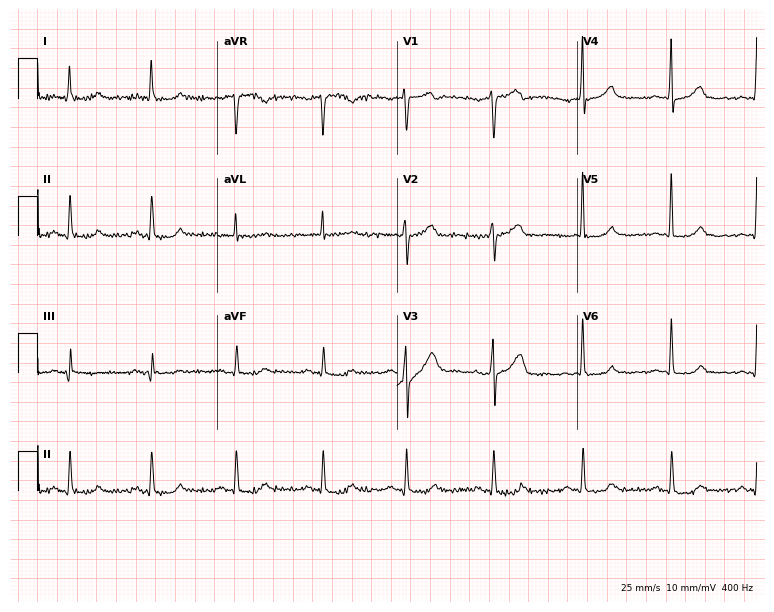
ECG — a male, 65 years old. Labelled as a normal ECG.